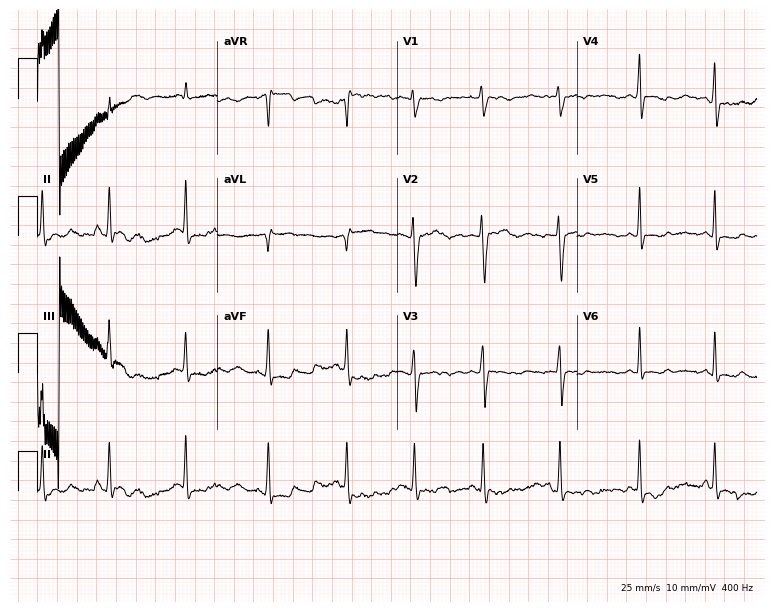
12-lead ECG from a 24-year-old female (7.3-second recording at 400 Hz). No first-degree AV block, right bundle branch block (RBBB), left bundle branch block (LBBB), sinus bradycardia, atrial fibrillation (AF) or sinus tachycardia recorded for this tracing. Other findings, if any, are not listed.